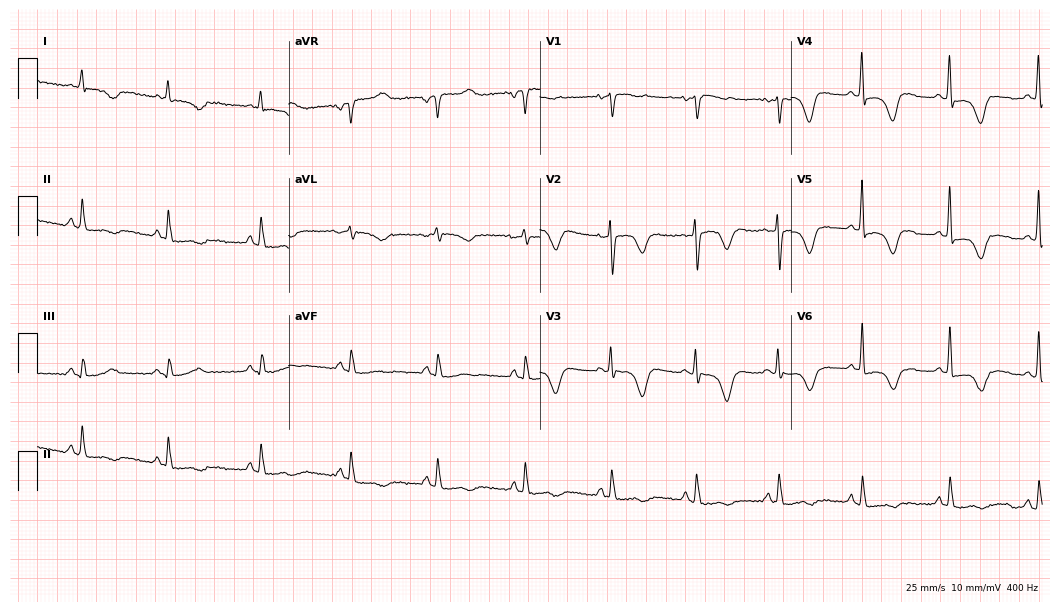
Standard 12-lead ECG recorded from a 79-year-old female. None of these six findings is recorded: first-degree AV block, right bundle branch block, left bundle branch block, sinus bradycardia, atrial fibrillation, sinus tachycardia. Only these six findings were labelled.